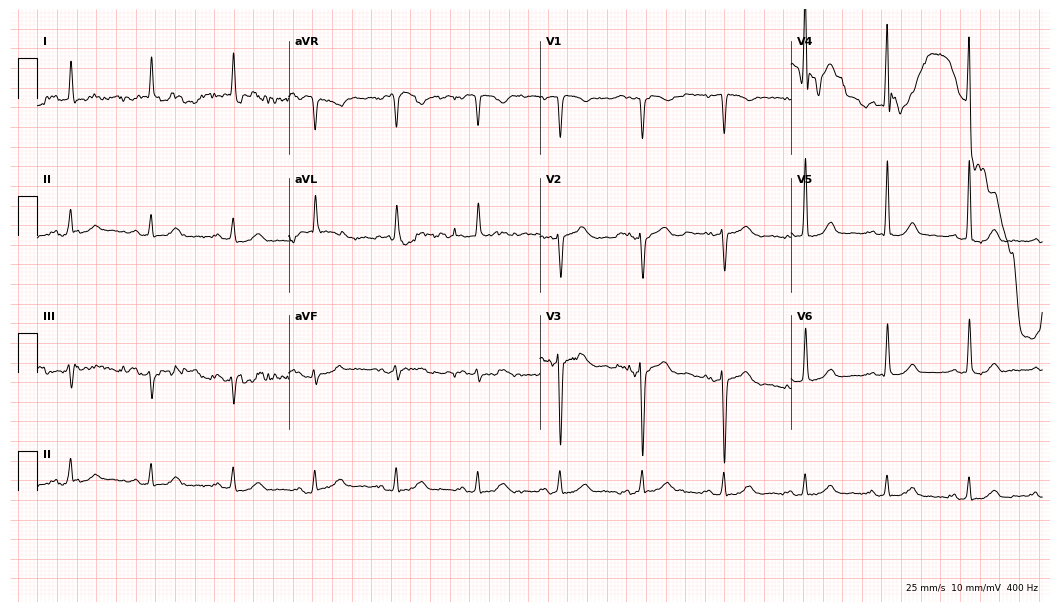
Resting 12-lead electrocardiogram (10.2-second recording at 400 Hz). Patient: a 75-year-old female. Read as a normal ECG.